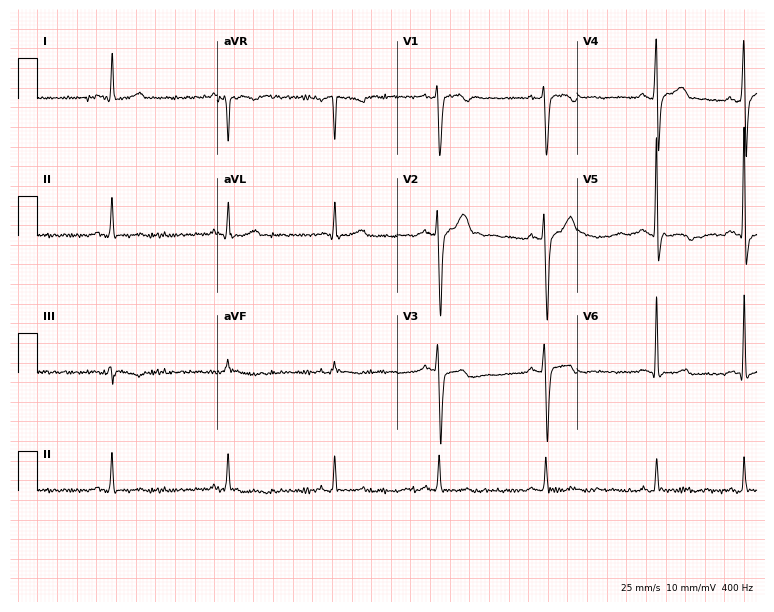
Electrocardiogram (7.3-second recording at 400 Hz), a 30-year-old male patient. Of the six screened findings (first-degree AV block, right bundle branch block, left bundle branch block, sinus bradycardia, atrial fibrillation, sinus tachycardia), none is recorded. Other findings, if any, are not listed.